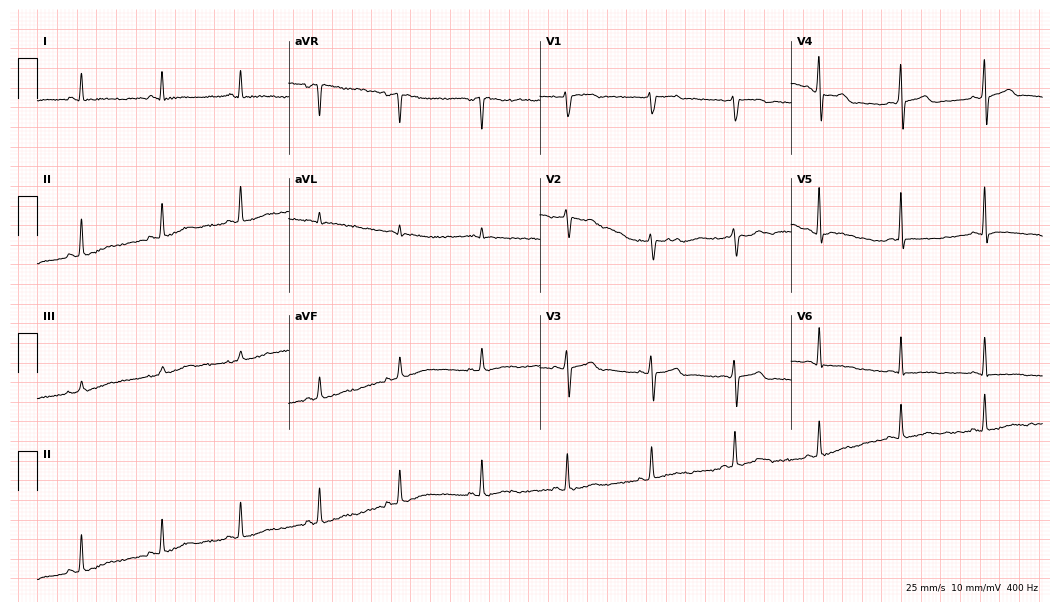
12-lead ECG (10.2-second recording at 400 Hz) from a 53-year-old female. Screened for six findings — first-degree AV block, right bundle branch block, left bundle branch block, sinus bradycardia, atrial fibrillation, sinus tachycardia — none is recorded.